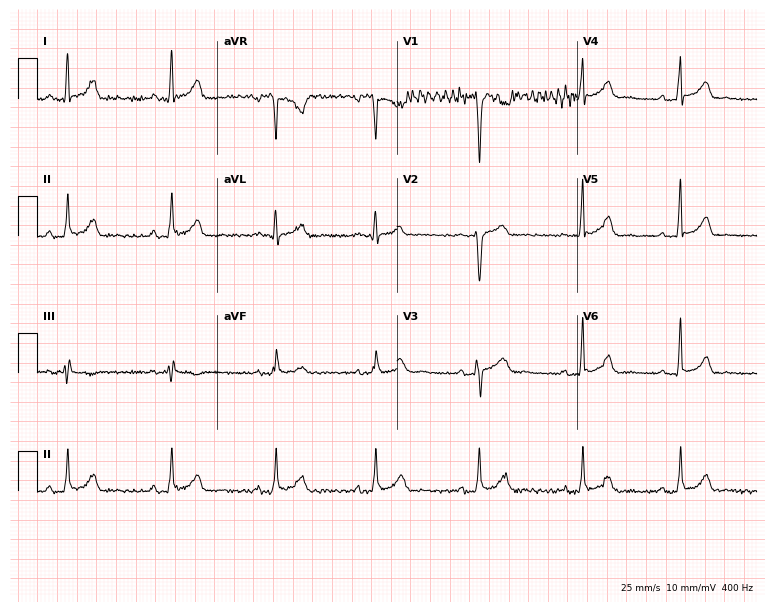
Standard 12-lead ECG recorded from a male, 30 years old. None of these six findings is recorded: first-degree AV block, right bundle branch block (RBBB), left bundle branch block (LBBB), sinus bradycardia, atrial fibrillation (AF), sinus tachycardia.